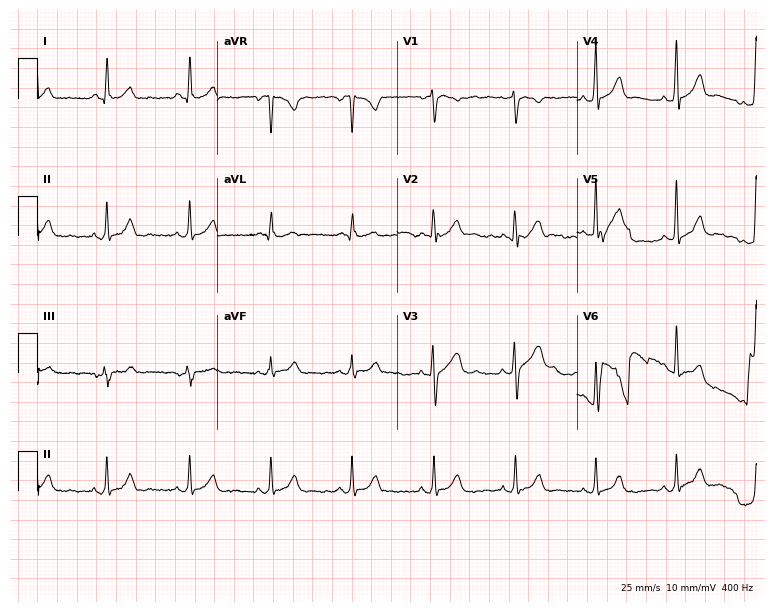
Standard 12-lead ECG recorded from a 57-year-old woman. None of these six findings is recorded: first-degree AV block, right bundle branch block, left bundle branch block, sinus bradycardia, atrial fibrillation, sinus tachycardia. Other findings, if any, are not listed.